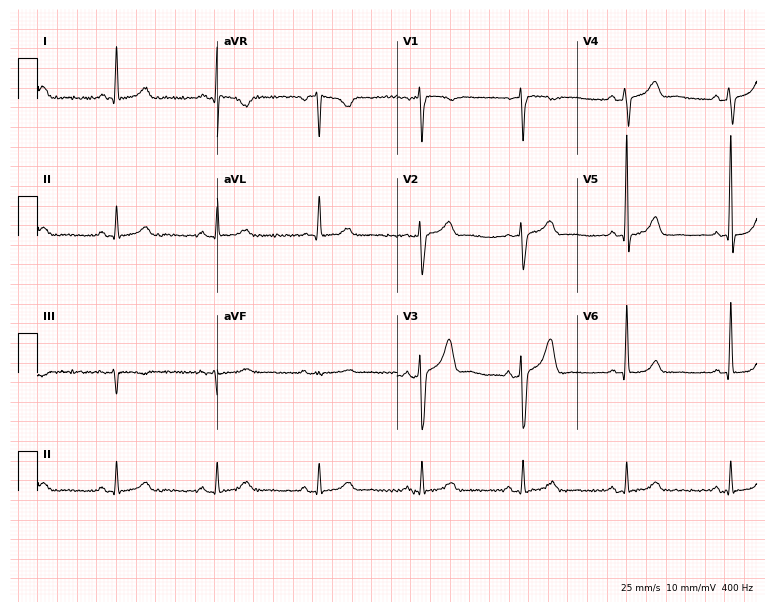
Electrocardiogram, a male, 70 years old. Of the six screened findings (first-degree AV block, right bundle branch block (RBBB), left bundle branch block (LBBB), sinus bradycardia, atrial fibrillation (AF), sinus tachycardia), none is recorded. Findings outside these six are not listed.